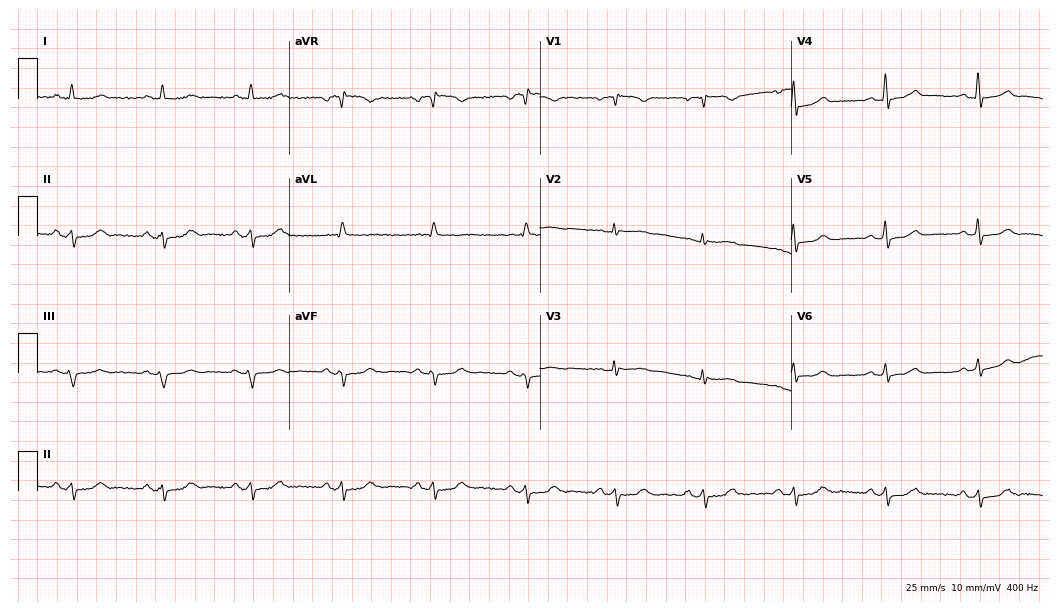
Standard 12-lead ECG recorded from a woman, 63 years old. None of these six findings is recorded: first-degree AV block, right bundle branch block, left bundle branch block, sinus bradycardia, atrial fibrillation, sinus tachycardia. Other findings, if any, are not listed.